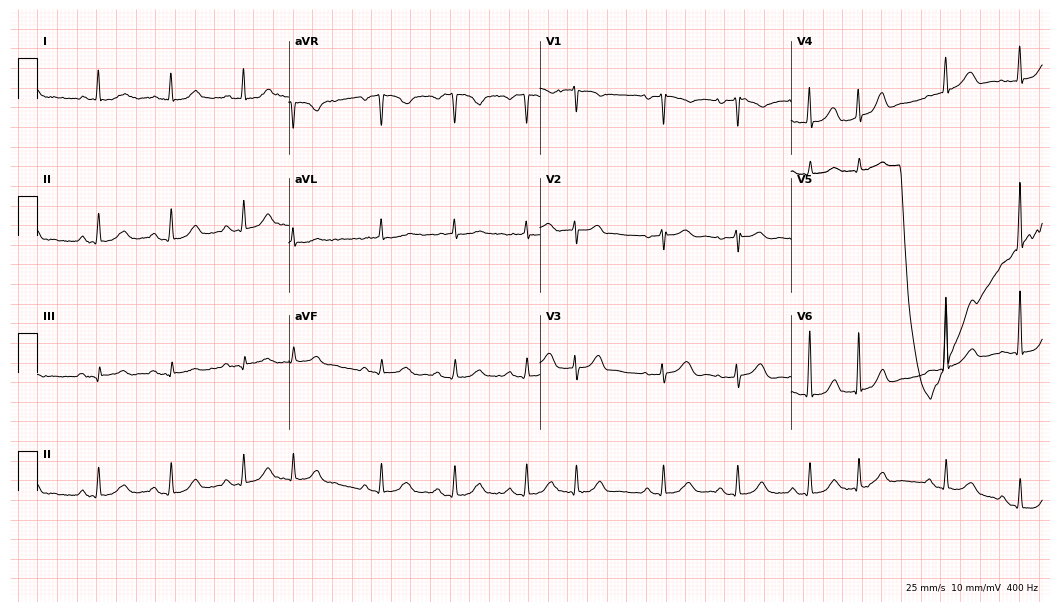
12-lead ECG (10.2-second recording at 400 Hz) from an 85-year-old female patient. Labelled as a normal ECG.